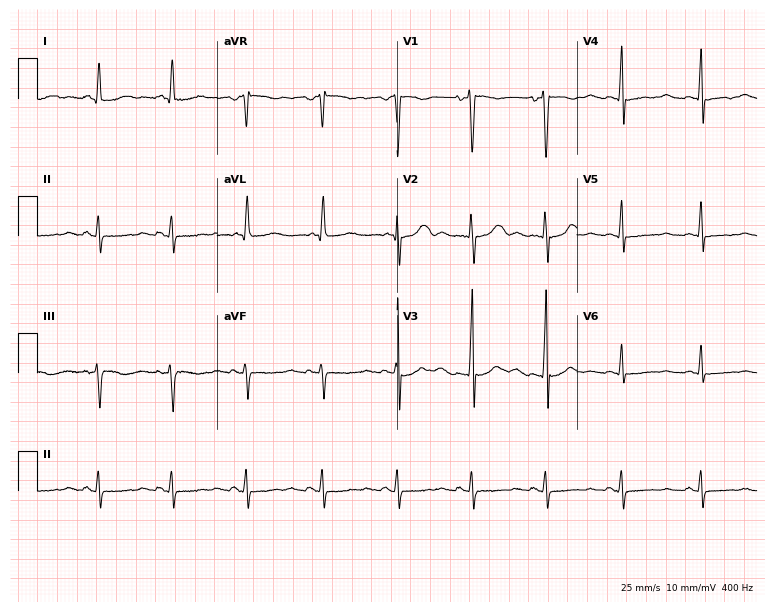
ECG — a 36-year-old woman. Screened for six findings — first-degree AV block, right bundle branch block (RBBB), left bundle branch block (LBBB), sinus bradycardia, atrial fibrillation (AF), sinus tachycardia — none is recorded. Findings outside these six are not listed.